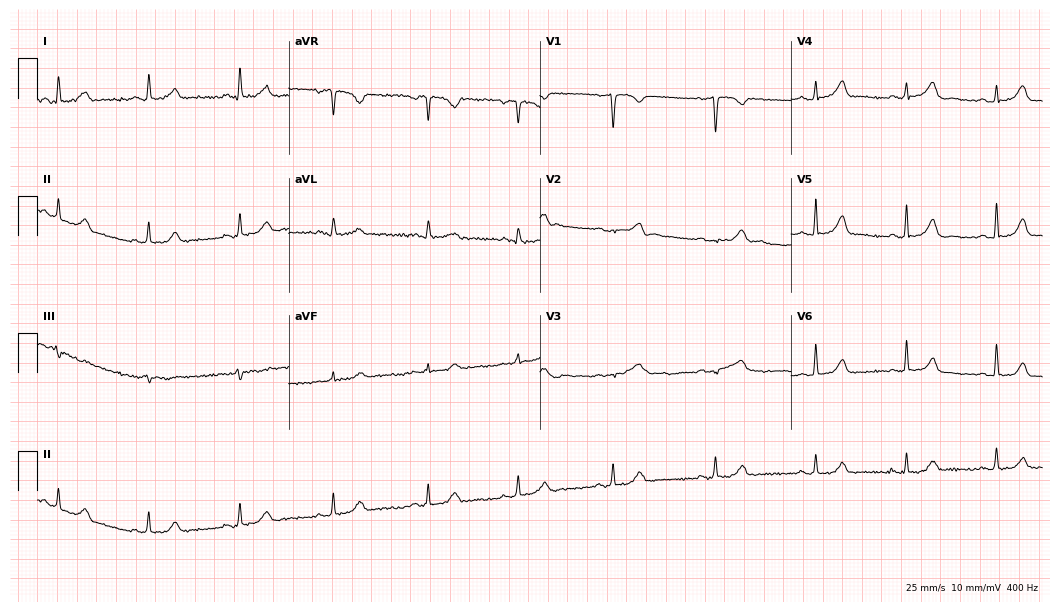
12-lead ECG from a 36-year-old woman. Recorded interpretation: within normal limits.